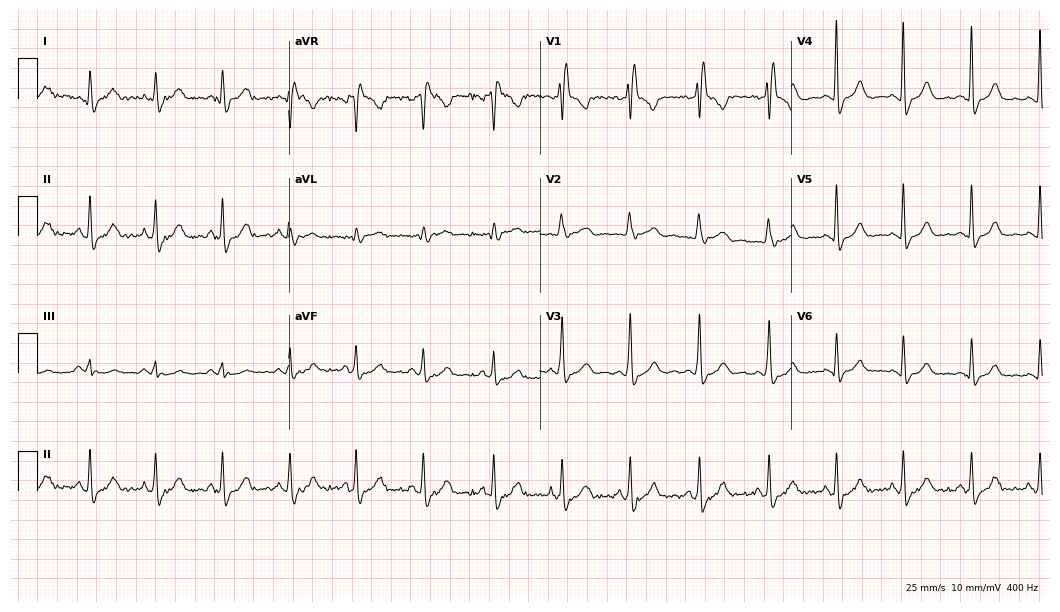
Standard 12-lead ECG recorded from a woman, 46 years old (10.2-second recording at 400 Hz). The tracing shows right bundle branch block.